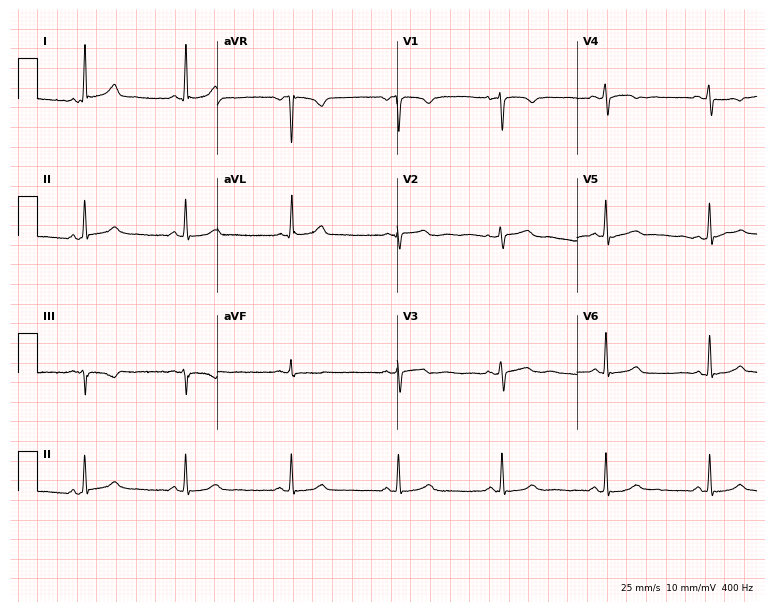
12-lead ECG (7.3-second recording at 400 Hz) from a female patient, 43 years old. Labelled as a normal ECG.